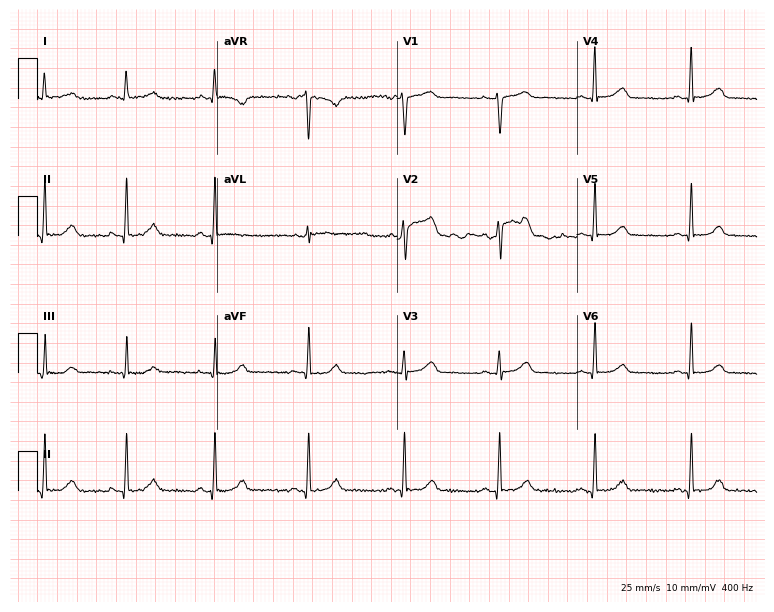
Standard 12-lead ECG recorded from a 28-year-old female patient. None of these six findings is recorded: first-degree AV block, right bundle branch block, left bundle branch block, sinus bradycardia, atrial fibrillation, sinus tachycardia. Only these six findings were labelled.